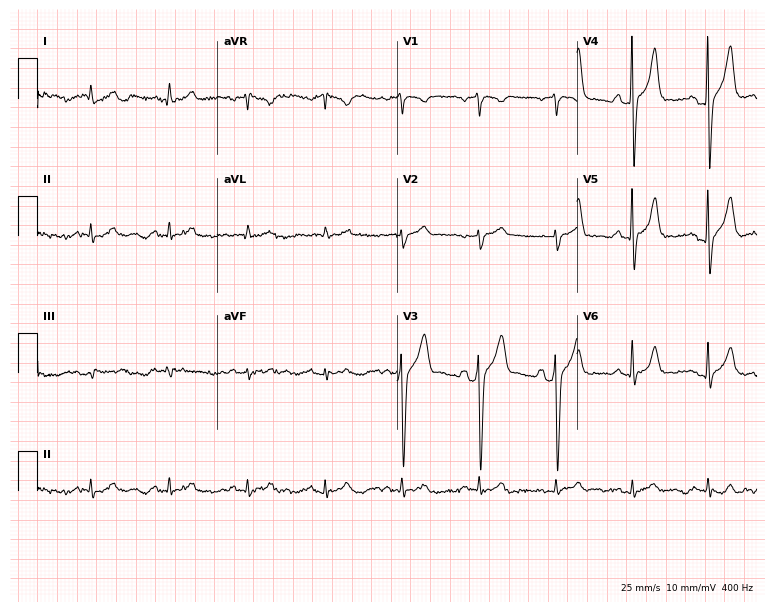
Resting 12-lead electrocardiogram (7.3-second recording at 400 Hz). Patient: a man, 74 years old. Read as a normal ECG.